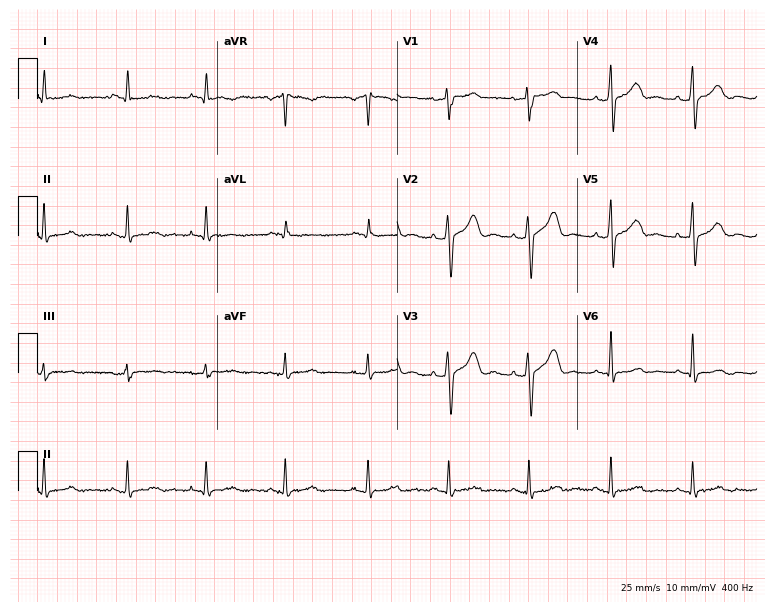
Electrocardiogram, a 62-year-old male. Overall reading on record: normal ECG.